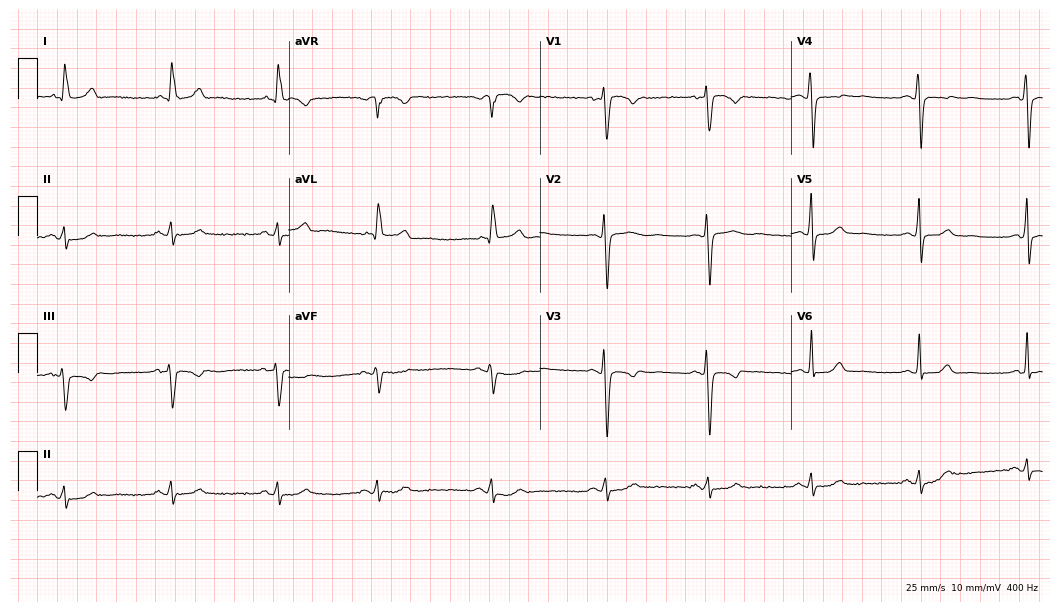
Resting 12-lead electrocardiogram. Patient: a woman, 69 years old. None of these six findings is recorded: first-degree AV block, right bundle branch block, left bundle branch block, sinus bradycardia, atrial fibrillation, sinus tachycardia.